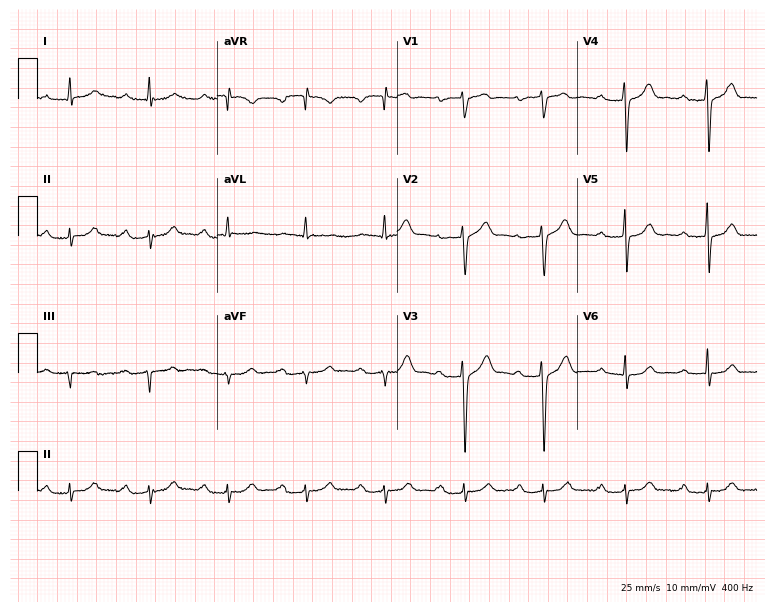
12-lead ECG from a 61-year-old man. No first-degree AV block, right bundle branch block (RBBB), left bundle branch block (LBBB), sinus bradycardia, atrial fibrillation (AF) or sinus tachycardia recorded for this tracing.